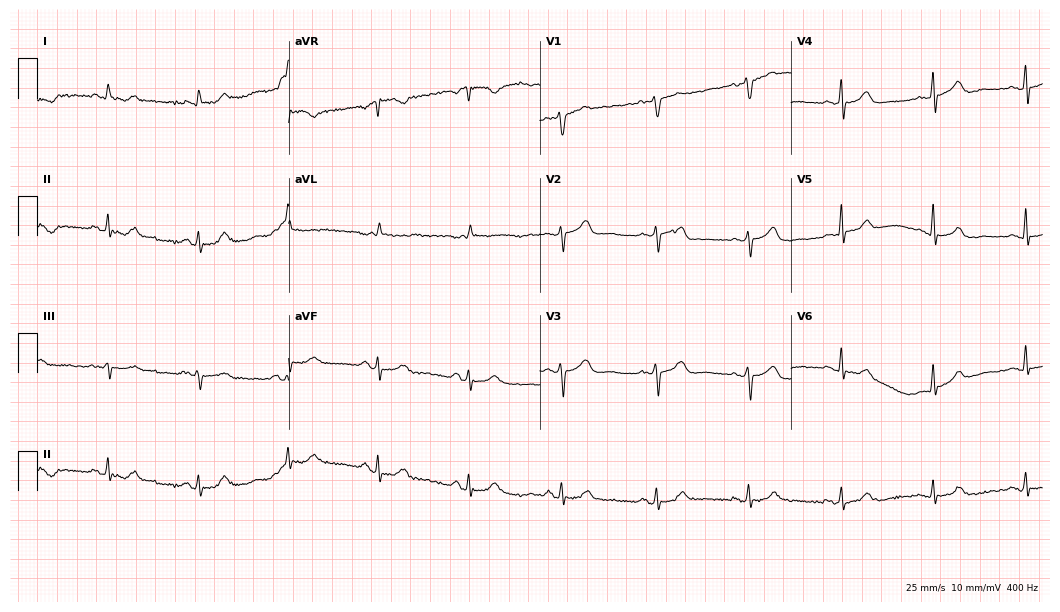
Electrocardiogram (10.2-second recording at 400 Hz), a man, 71 years old. Overall reading on record: normal ECG.